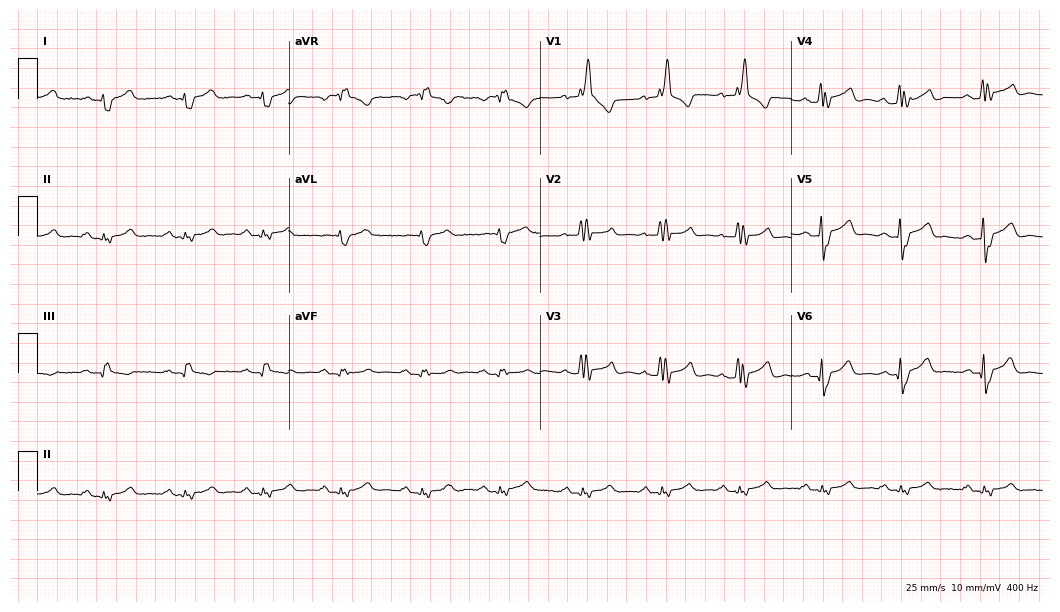
Resting 12-lead electrocardiogram (10.2-second recording at 400 Hz). Patient: a 60-year-old male. The tracing shows right bundle branch block (RBBB).